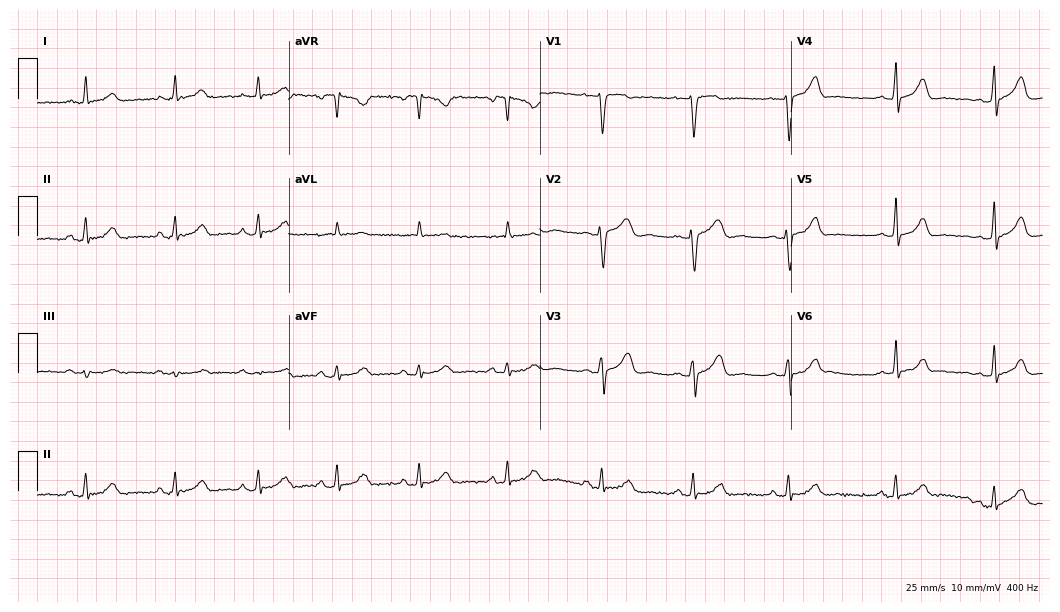
Resting 12-lead electrocardiogram (10.2-second recording at 400 Hz). Patient: a woman, 37 years old. Read as a normal ECG.